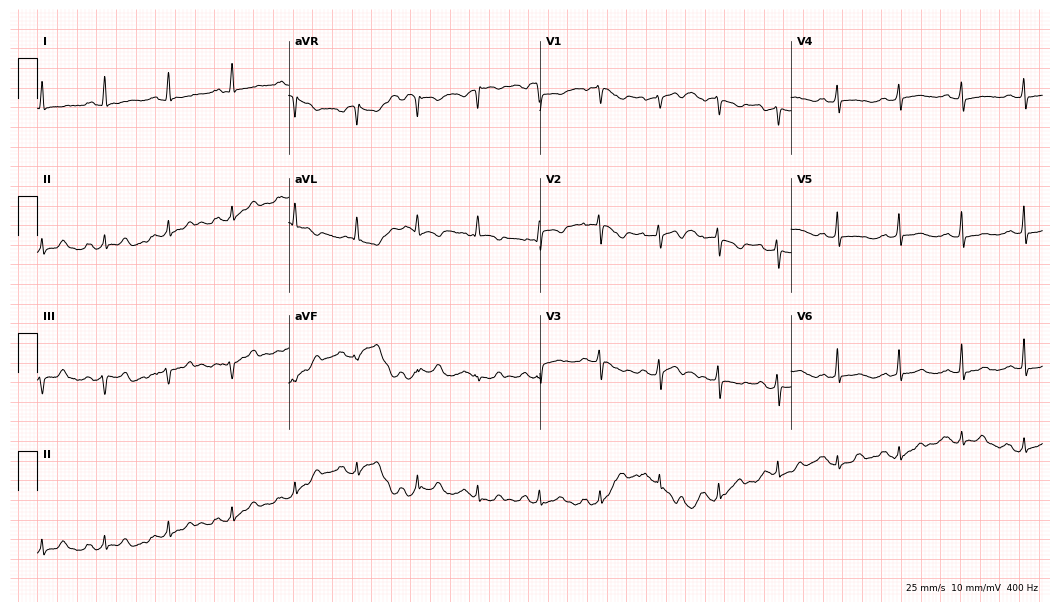
Resting 12-lead electrocardiogram. Patient: a female, 48 years old. None of these six findings is recorded: first-degree AV block, right bundle branch block (RBBB), left bundle branch block (LBBB), sinus bradycardia, atrial fibrillation (AF), sinus tachycardia. Only these six findings were labelled.